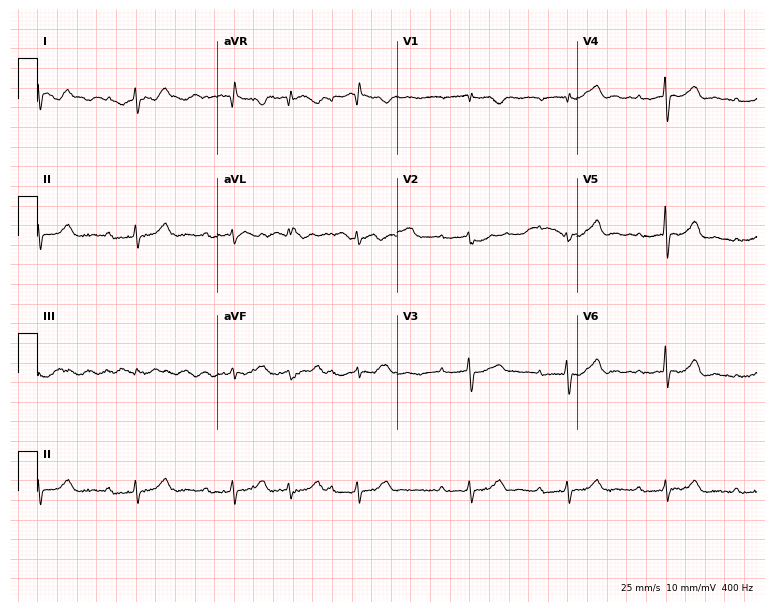
Electrocardiogram (7.3-second recording at 400 Hz), an 81-year-old male patient. Interpretation includes first-degree AV block.